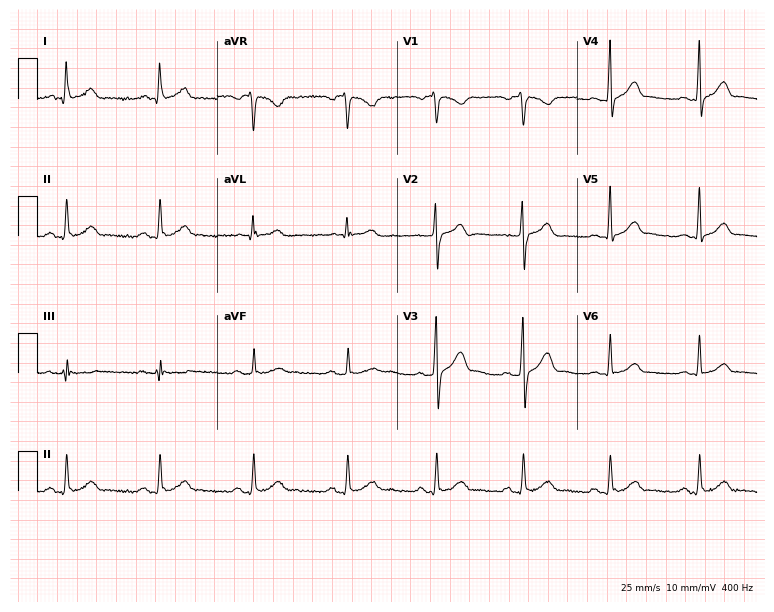
12-lead ECG from a male, 27 years old. Labelled as a normal ECG.